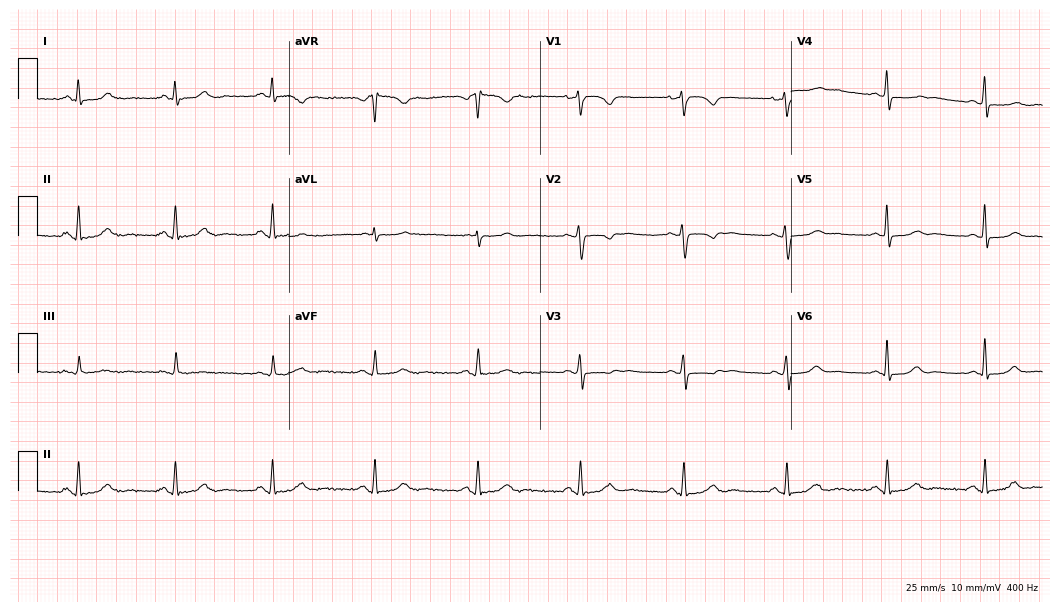
Electrocardiogram, a woman, 41 years old. Of the six screened findings (first-degree AV block, right bundle branch block (RBBB), left bundle branch block (LBBB), sinus bradycardia, atrial fibrillation (AF), sinus tachycardia), none is recorded. Findings outside these six are not listed.